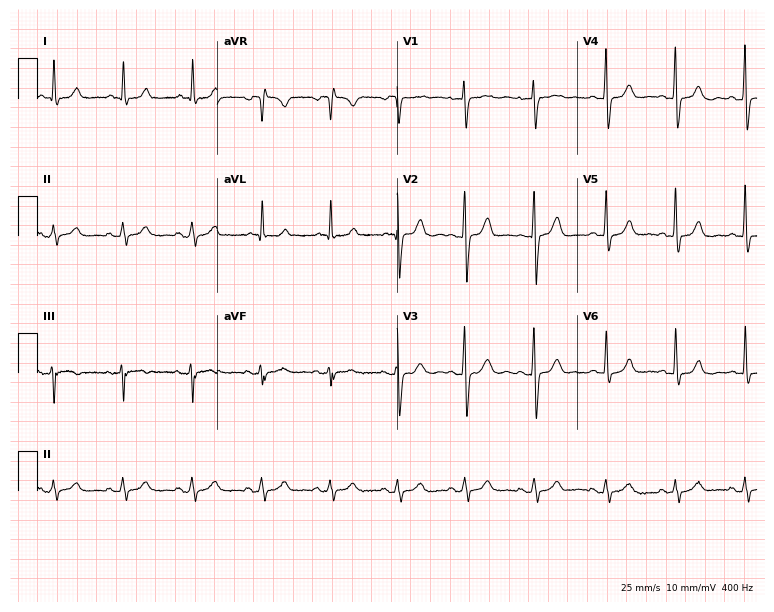
Electrocardiogram, a female patient, 60 years old. Overall reading on record: normal ECG.